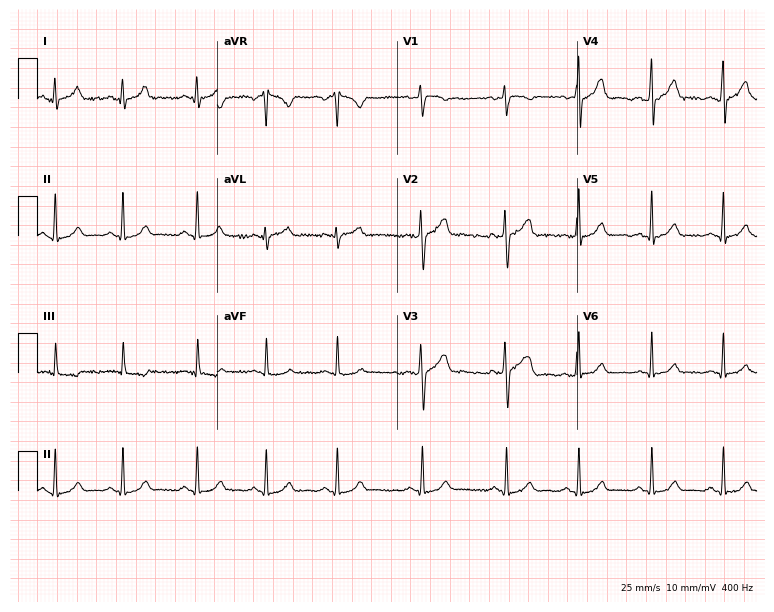
Standard 12-lead ECG recorded from a 32-year-old female patient (7.3-second recording at 400 Hz). None of these six findings is recorded: first-degree AV block, right bundle branch block (RBBB), left bundle branch block (LBBB), sinus bradycardia, atrial fibrillation (AF), sinus tachycardia. Only these six findings were labelled.